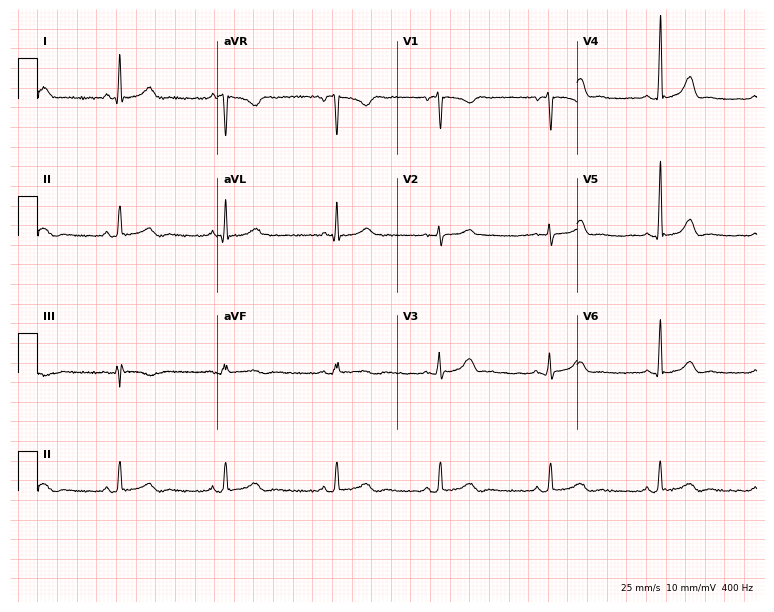
Resting 12-lead electrocardiogram. Patient: a 37-year-old woman. Read as a normal ECG.